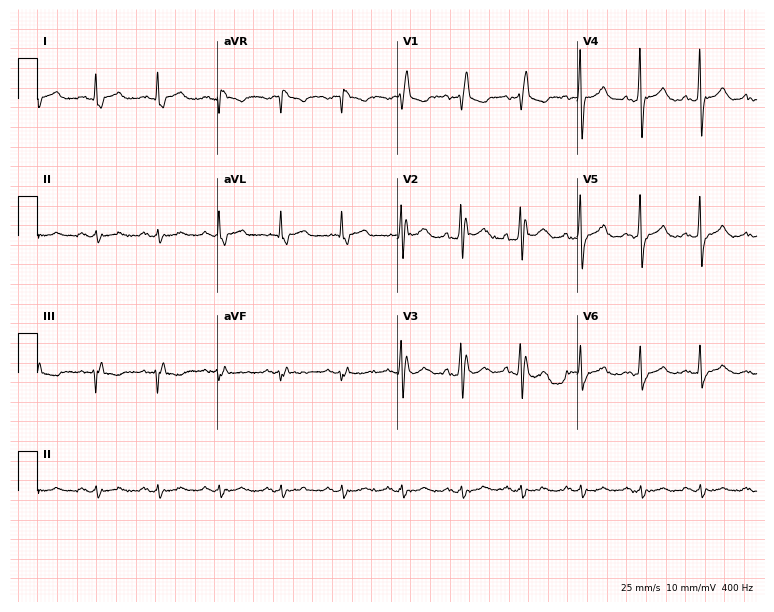
12-lead ECG from a 65-year-old male patient (7.3-second recording at 400 Hz). No first-degree AV block, right bundle branch block, left bundle branch block, sinus bradycardia, atrial fibrillation or sinus tachycardia recorded for this tracing. Only these six findings were labelled.